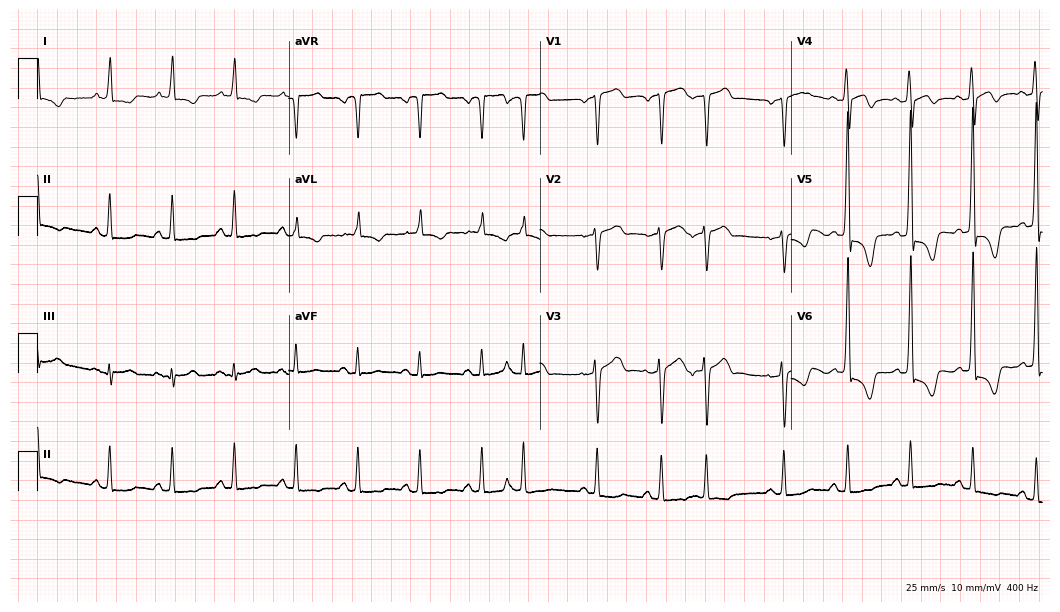
Resting 12-lead electrocardiogram. Patient: a male, 73 years old. None of these six findings is recorded: first-degree AV block, right bundle branch block, left bundle branch block, sinus bradycardia, atrial fibrillation, sinus tachycardia.